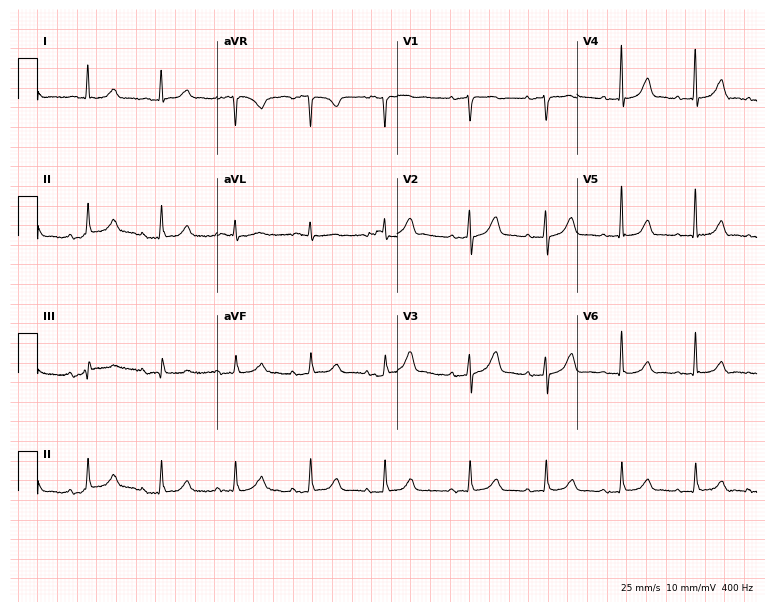
ECG (7.3-second recording at 400 Hz) — a female, 80 years old. Labelled as a normal ECG.